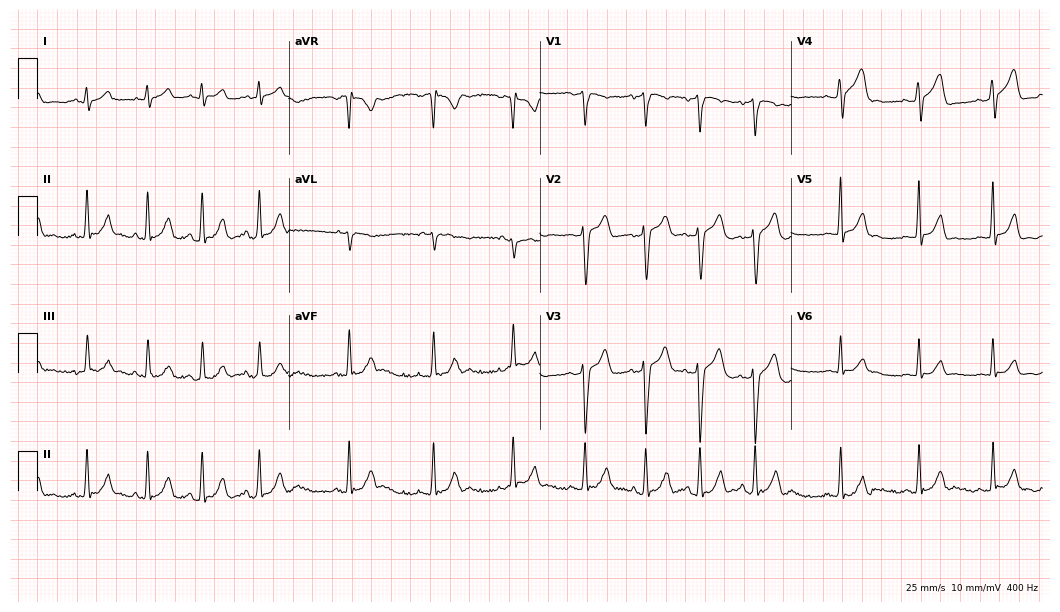
ECG — a 20-year-old male patient. Screened for six findings — first-degree AV block, right bundle branch block (RBBB), left bundle branch block (LBBB), sinus bradycardia, atrial fibrillation (AF), sinus tachycardia — none is recorded. Only these six findings were labelled.